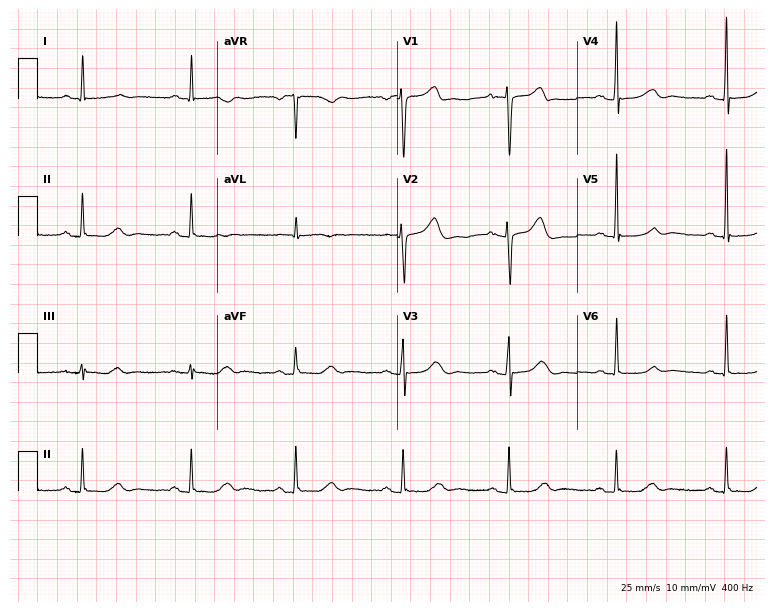
Resting 12-lead electrocardiogram. Patient: a woman, 64 years old. None of these six findings is recorded: first-degree AV block, right bundle branch block, left bundle branch block, sinus bradycardia, atrial fibrillation, sinus tachycardia.